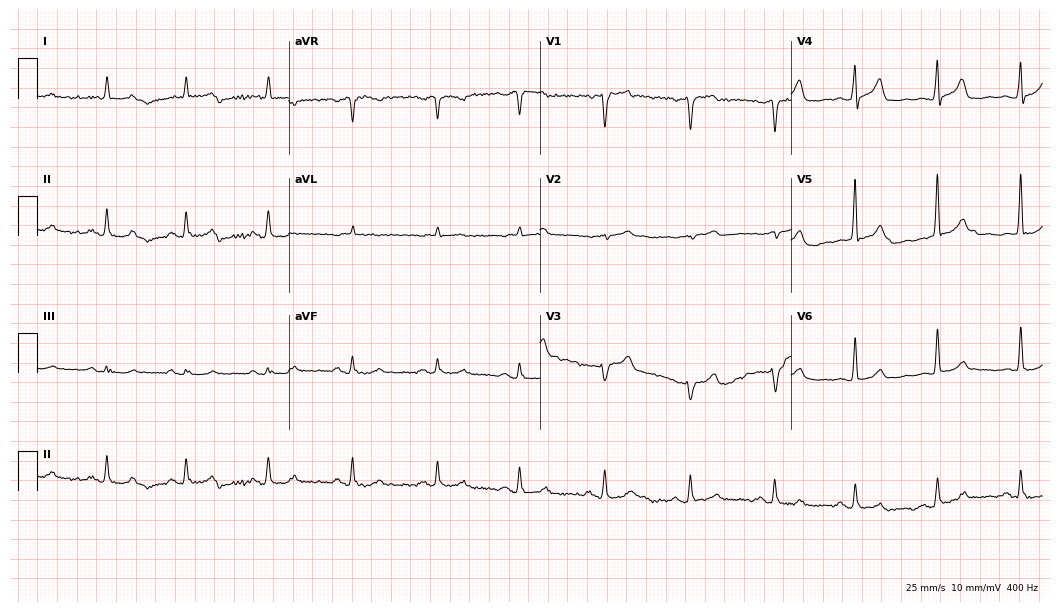
Resting 12-lead electrocardiogram. Patient: a 69-year-old male. None of these six findings is recorded: first-degree AV block, right bundle branch block, left bundle branch block, sinus bradycardia, atrial fibrillation, sinus tachycardia.